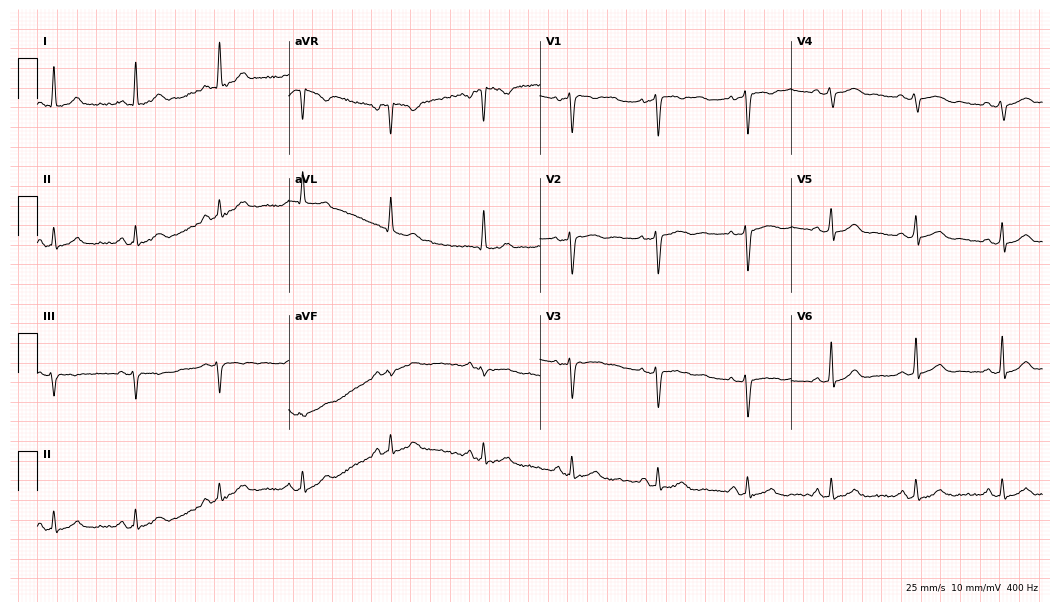
Electrocardiogram, a woman, 34 years old. Overall reading on record: normal ECG.